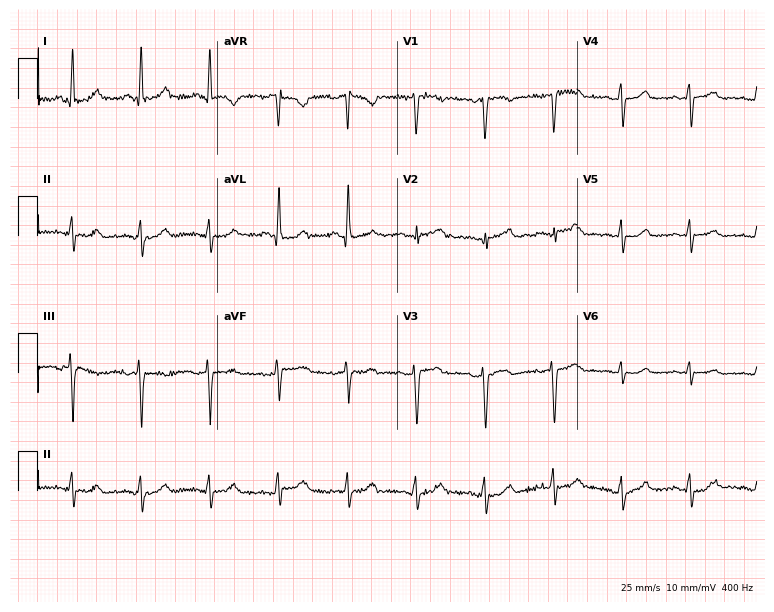
Electrocardiogram (7.3-second recording at 400 Hz), a woman, 70 years old. Of the six screened findings (first-degree AV block, right bundle branch block (RBBB), left bundle branch block (LBBB), sinus bradycardia, atrial fibrillation (AF), sinus tachycardia), none is recorded. Other findings, if any, are not listed.